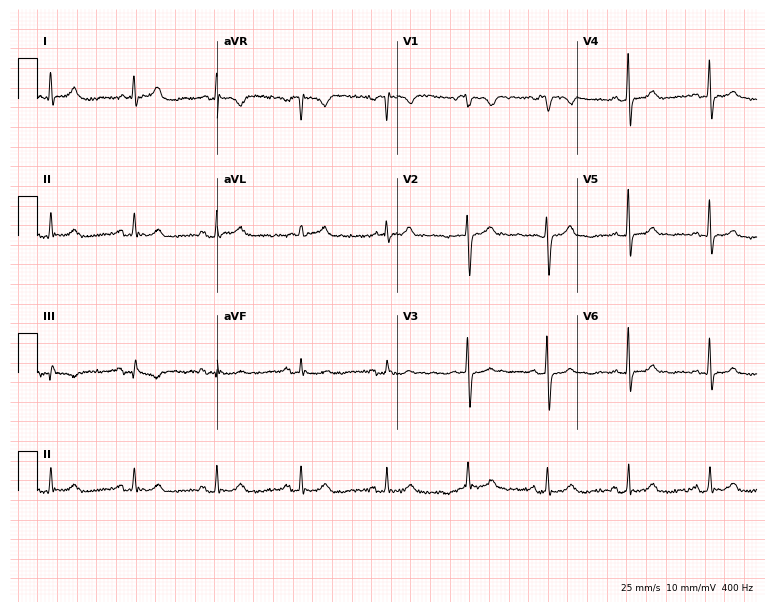
ECG — a 73-year-old female patient. Labelled as a normal ECG.